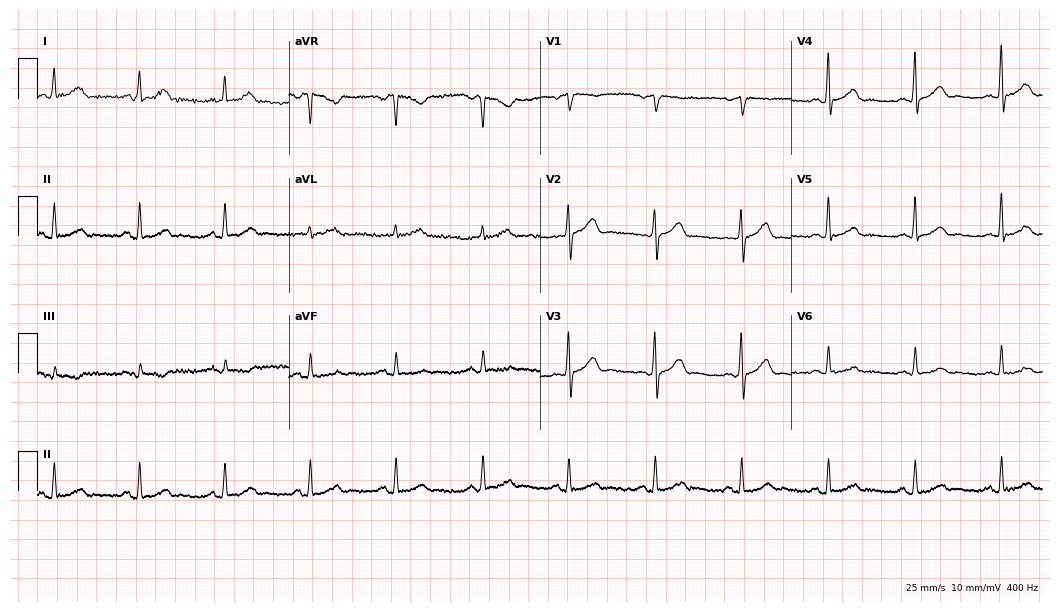
Standard 12-lead ECG recorded from a male patient, 57 years old (10.2-second recording at 400 Hz). Read as a normal ECG.